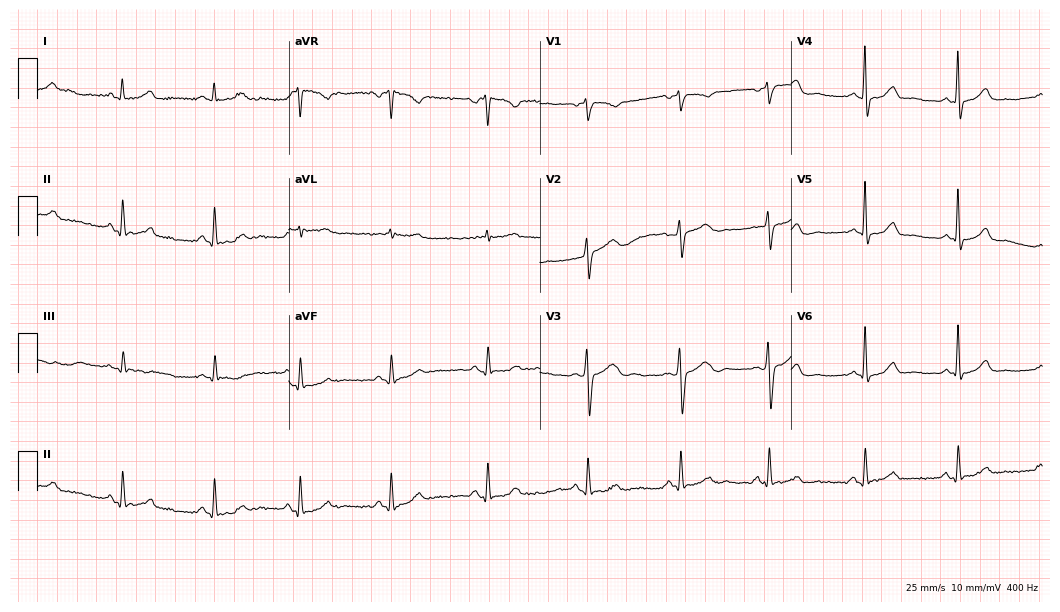
ECG — a woman, 41 years old. Labelled as a normal ECG.